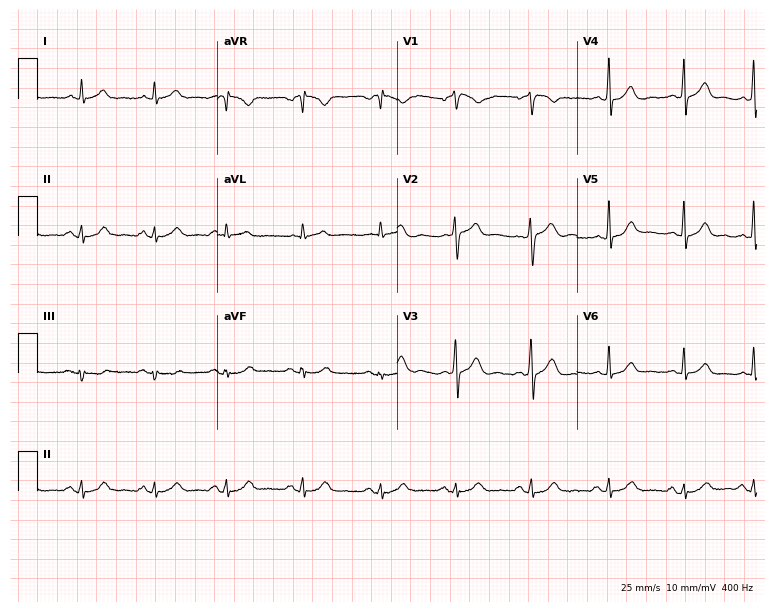
Standard 12-lead ECG recorded from a 51-year-old male (7.3-second recording at 400 Hz). Read as a normal ECG.